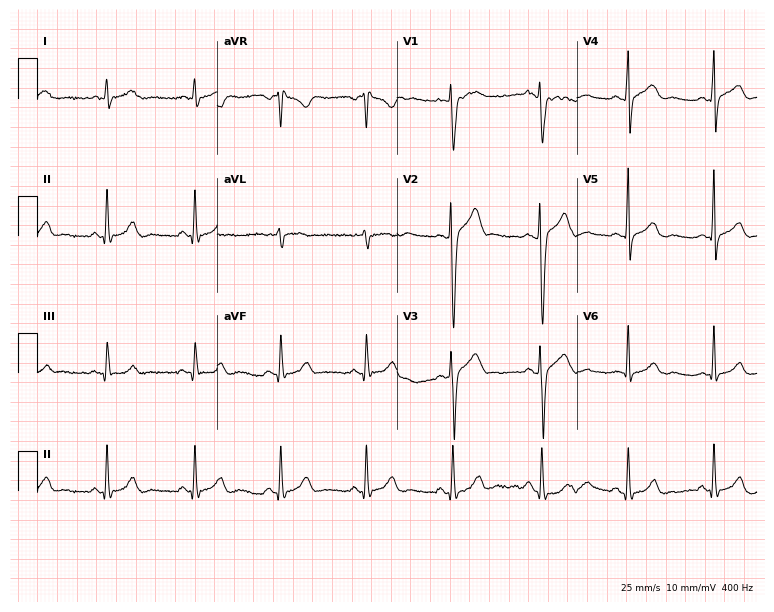
Resting 12-lead electrocardiogram (7.3-second recording at 400 Hz). Patient: a male, 36 years old. Read as a normal ECG.